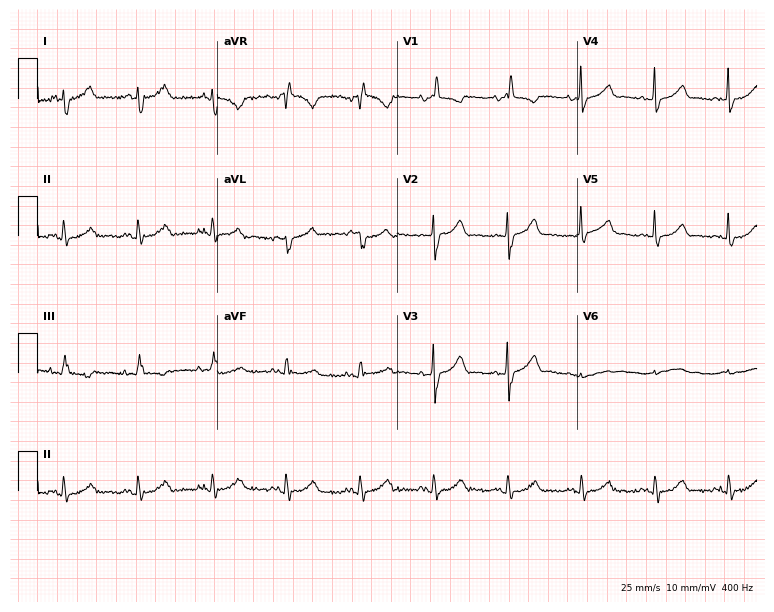
Standard 12-lead ECG recorded from a female patient, 69 years old. None of these six findings is recorded: first-degree AV block, right bundle branch block (RBBB), left bundle branch block (LBBB), sinus bradycardia, atrial fibrillation (AF), sinus tachycardia. Only these six findings were labelled.